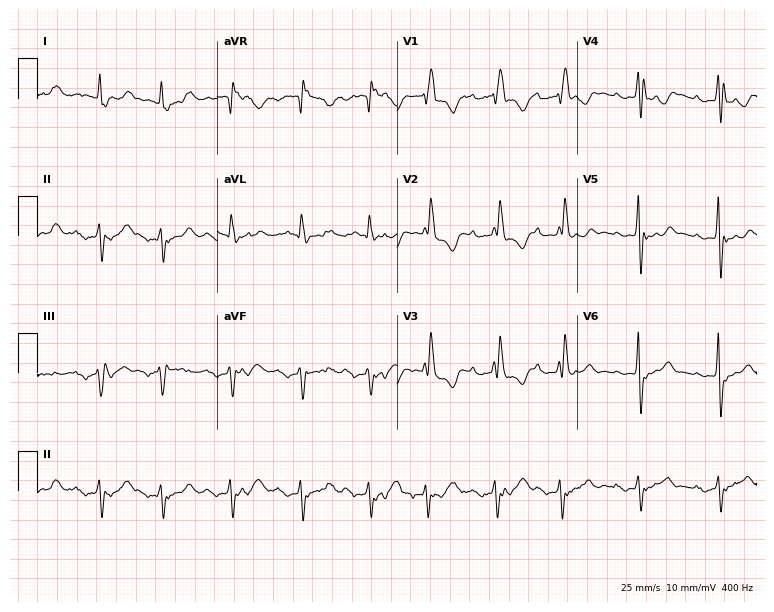
12-lead ECG from a female patient, 75 years old (7.3-second recording at 400 Hz). Shows first-degree AV block, right bundle branch block.